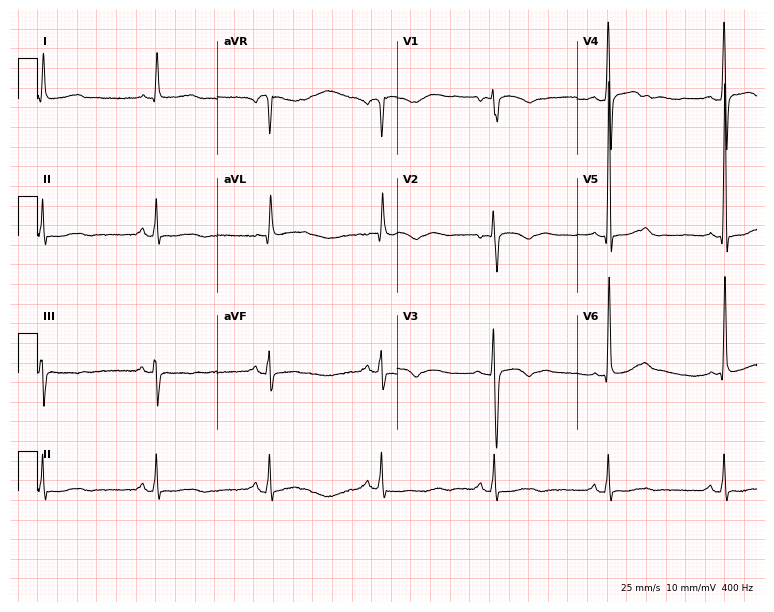
Standard 12-lead ECG recorded from an 84-year-old female patient (7.3-second recording at 400 Hz). Read as a normal ECG.